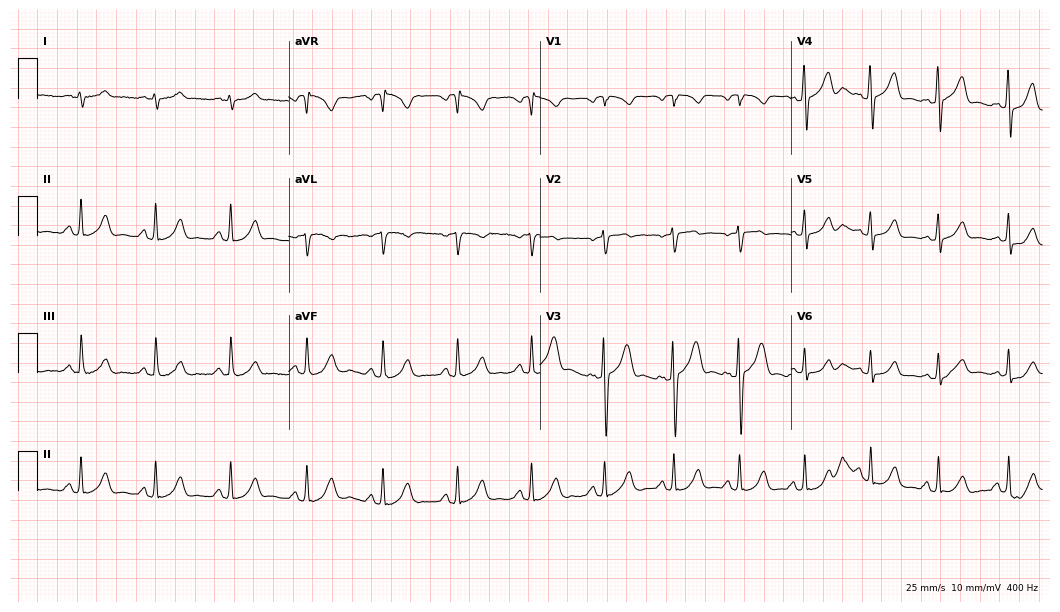
Resting 12-lead electrocardiogram. Patient: a male, 52 years old. None of these six findings is recorded: first-degree AV block, right bundle branch block, left bundle branch block, sinus bradycardia, atrial fibrillation, sinus tachycardia. Findings outside these six are not listed.